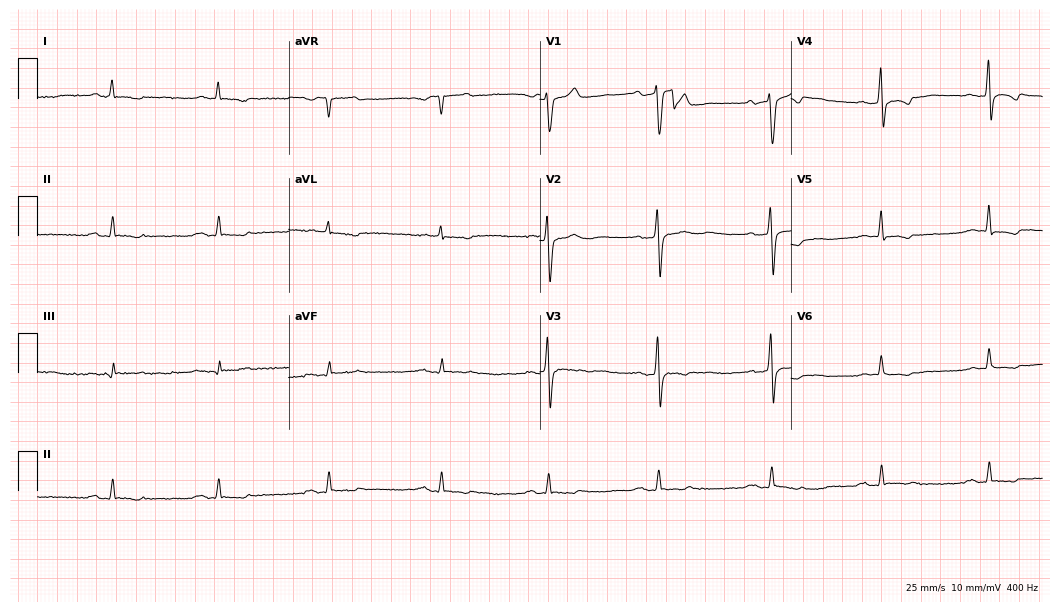
Standard 12-lead ECG recorded from a male, 53 years old. None of these six findings is recorded: first-degree AV block, right bundle branch block, left bundle branch block, sinus bradycardia, atrial fibrillation, sinus tachycardia. Only these six findings were labelled.